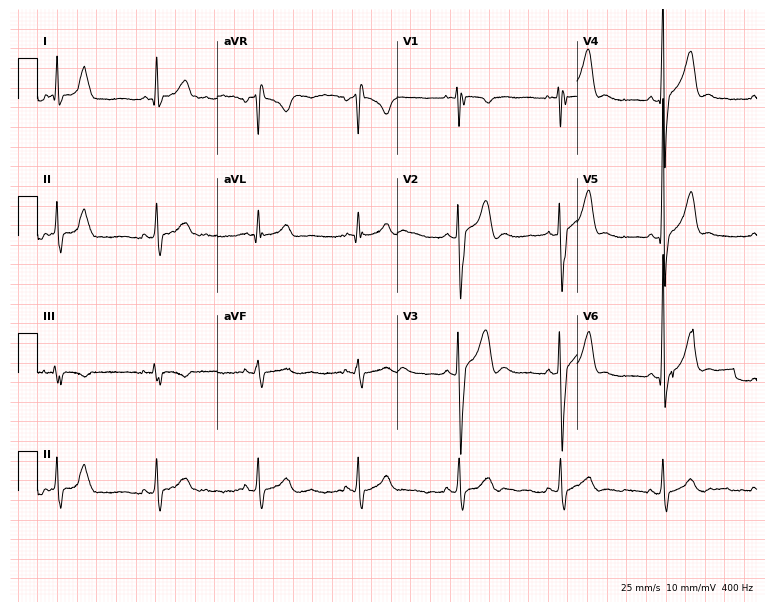
Electrocardiogram, a male, 30 years old. Overall reading on record: normal ECG.